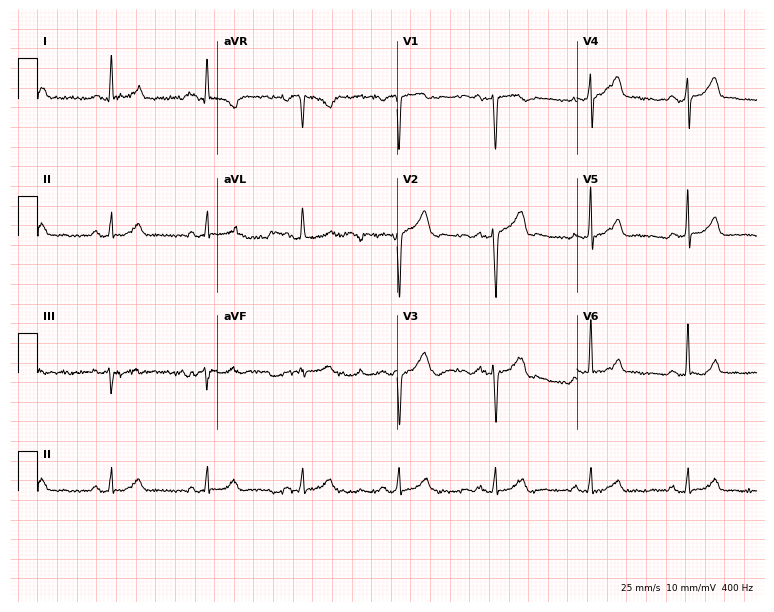
12-lead ECG (7.3-second recording at 400 Hz) from a man, 70 years old. Labelled as a normal ECG.